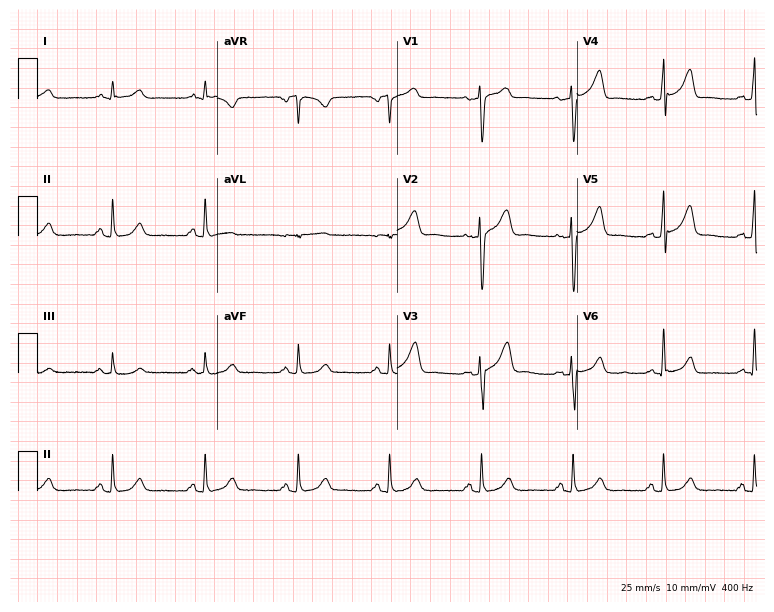
12-lead ECG from a female patient, 71 years old. Recorded interpretation: within normal limits.